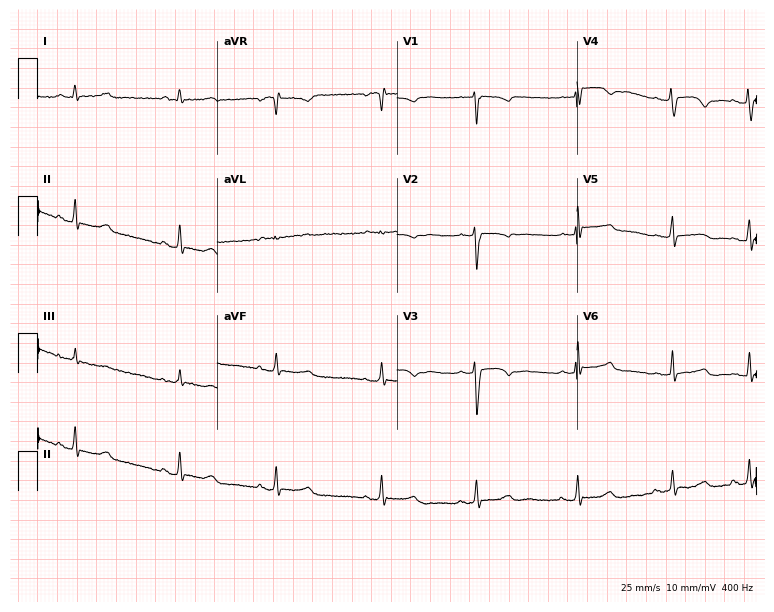
Resting 12-lead electrocardiogram. Patient: a 23-year-old woman. None of these six findings is recorded: first-degree AV block, right bundle branch block (RBBB), left bundle branch block (LBBB), sinus bradycardia, atrial fibrillation (AF), sinus tachycardia. Other findings, if any, are not listed.